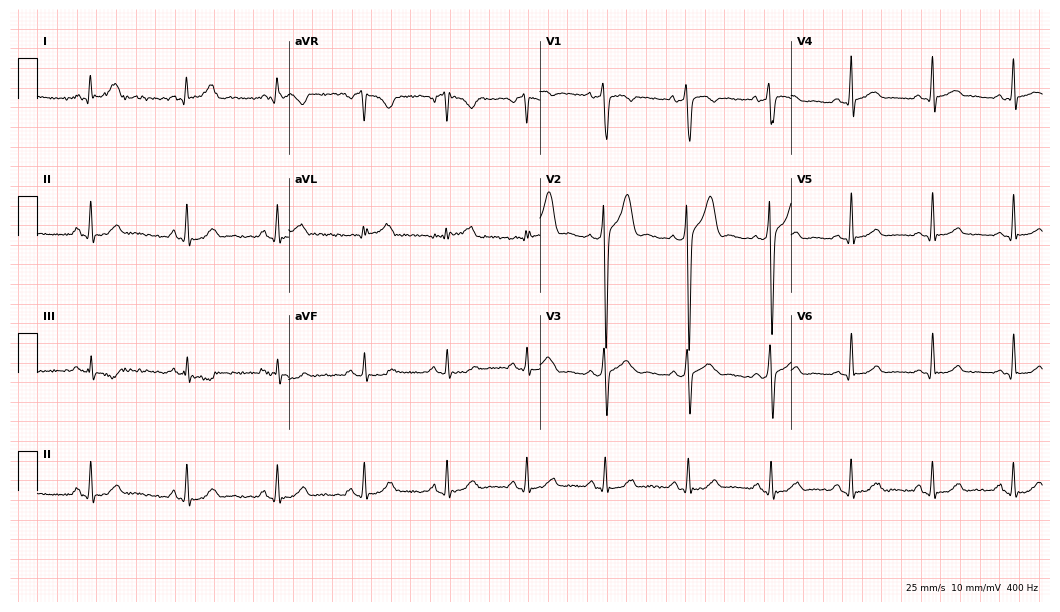
Standard 12-lead ECG recorded from a 42-year-old male patient. Read as a normal ECG.